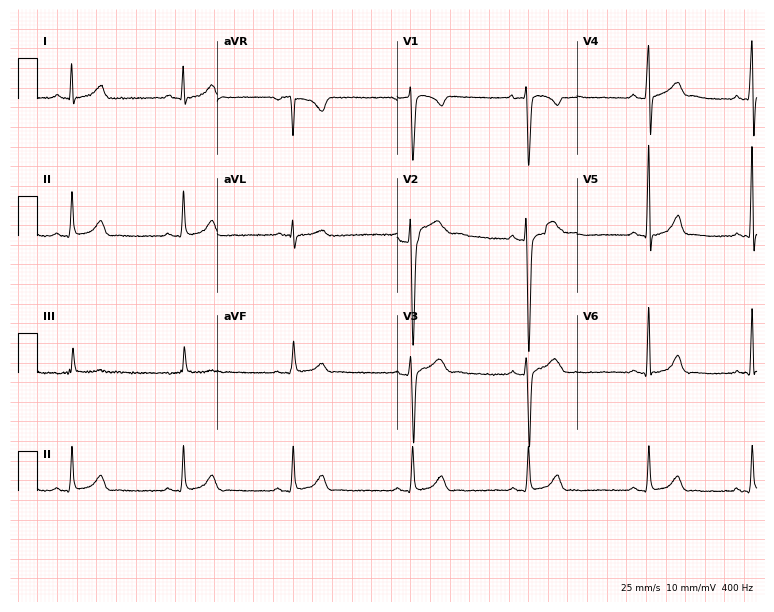
Electrocardiogram, a man, 28 years old. Of the six screened findings (first-degree AV block, right bundle branch block, left bundle branch block, sinus bradycardia, atrial fibrillation, sinus tachycardia), none is recorded.